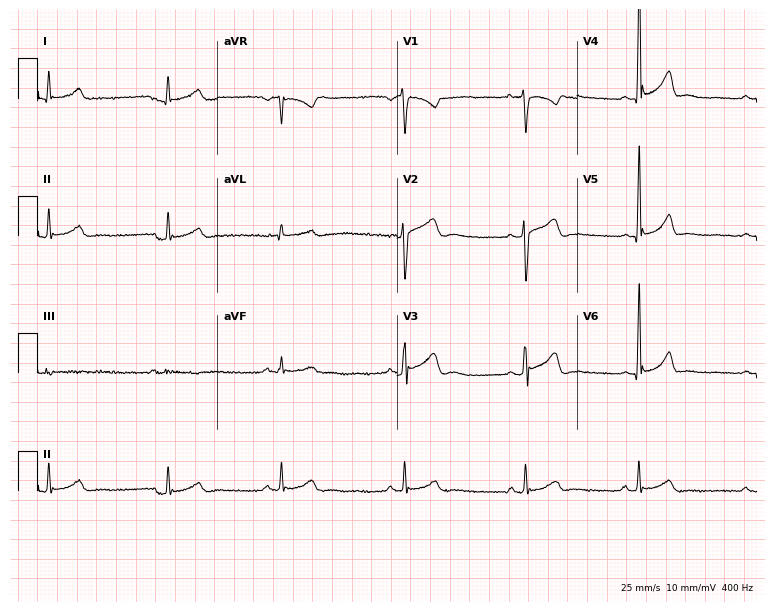
ECG (7.3-second recording at 400 Hz) — a 48-year-old male. Screened for six findings — first-degree AV block, right bundle branch block (RBBB), left bundle branch block (LBBB), sinus bradycardia, atrial fibrillation (AF), sinus tachycardia — none is recorded. Other findings, if any, are not listed.